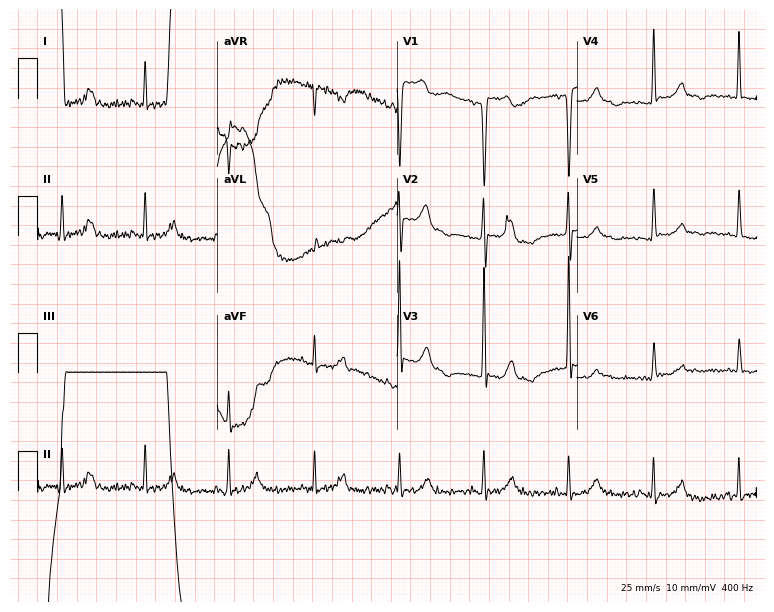
Resting 12-lead electrocardiogram. Patient: an 80-year-old woman. None of these six findings is recorded: first-degree AV block, right bundle branch block, left bundle branch block, sinus bradycardia, atrial fibrillation, sinus tachycardia.